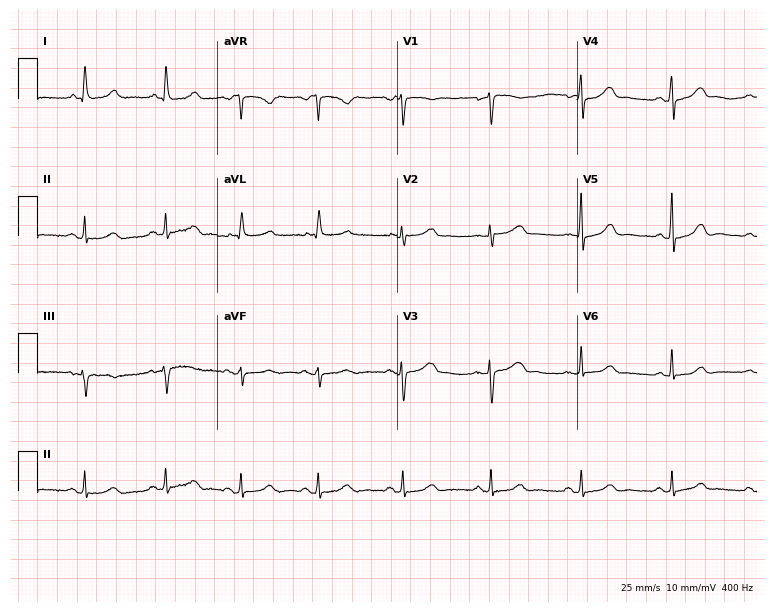
12-lead ECG (7.3-second recording at 400 Hz) from a 51-year-old female. Labelled as a normal ECG.